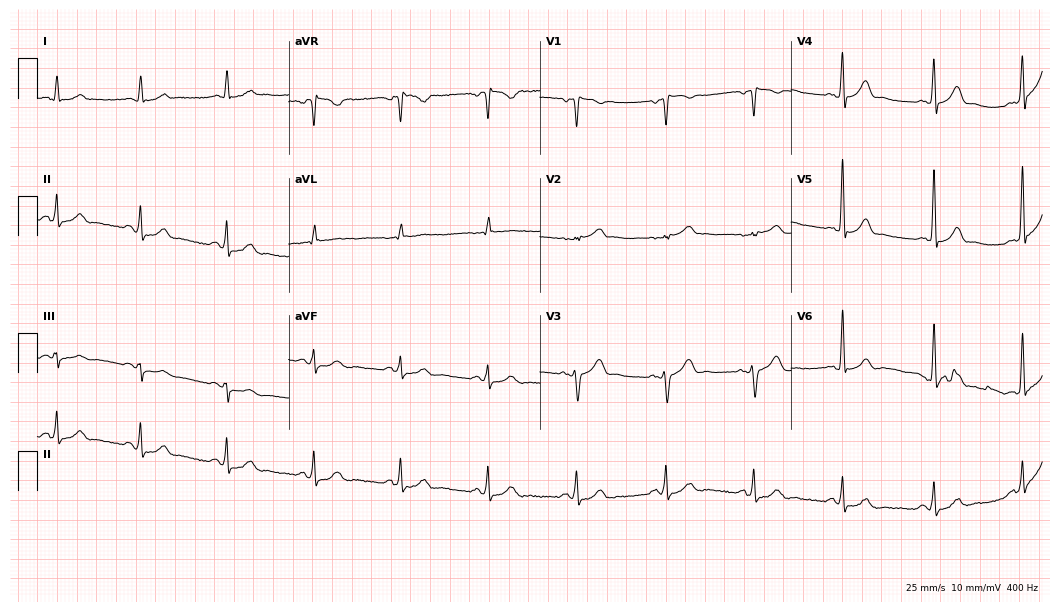
Standard 12-lead ECG recorded from a male, 57 years old (10.2-second recording at 400 Hz). Read as a normal ECG.